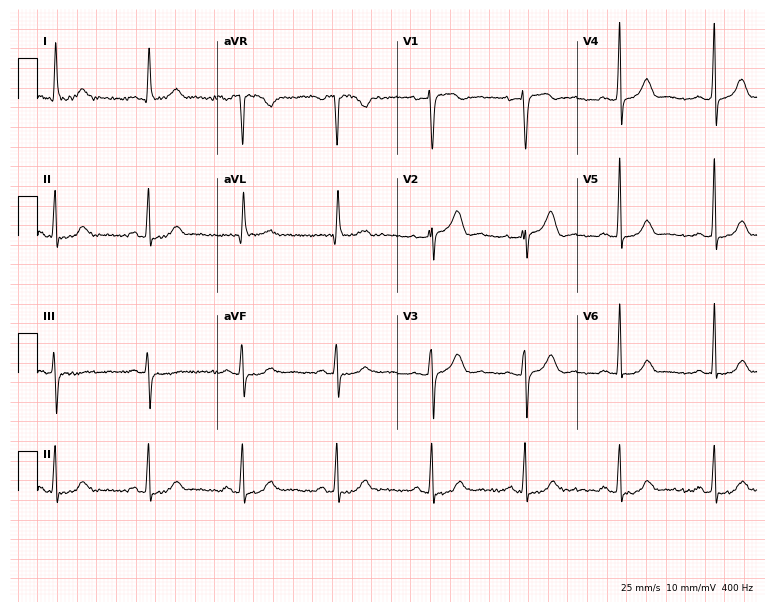
Standard 12-lead ECG recorded from a woman, 51 years old. Read as a normal ECG.